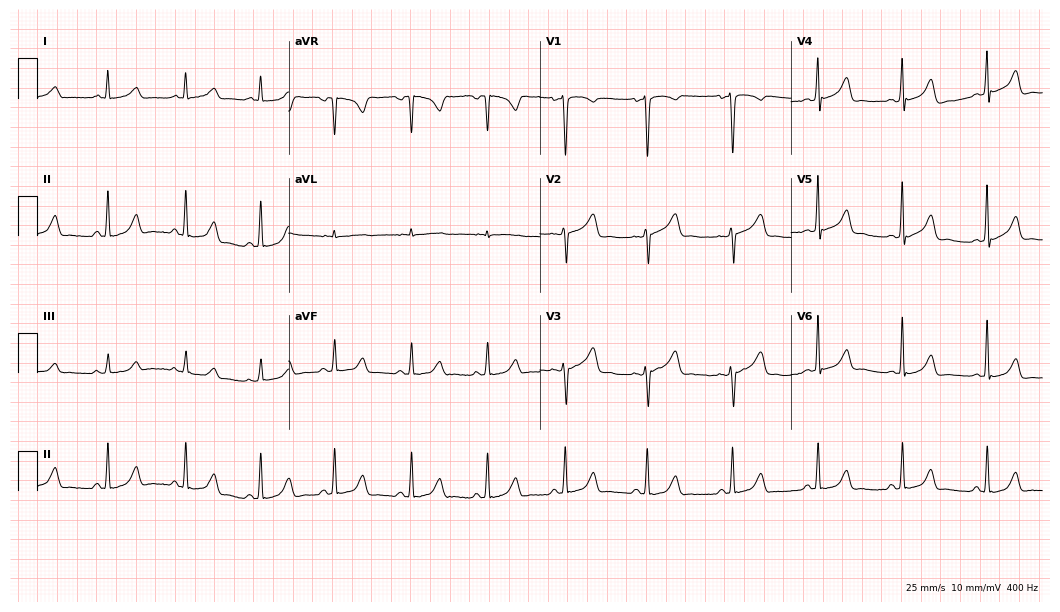
12-lead ECG from a 34-year-old male (10.2-second recording at 400 Hz). Recorded interpretation: within normal limits.